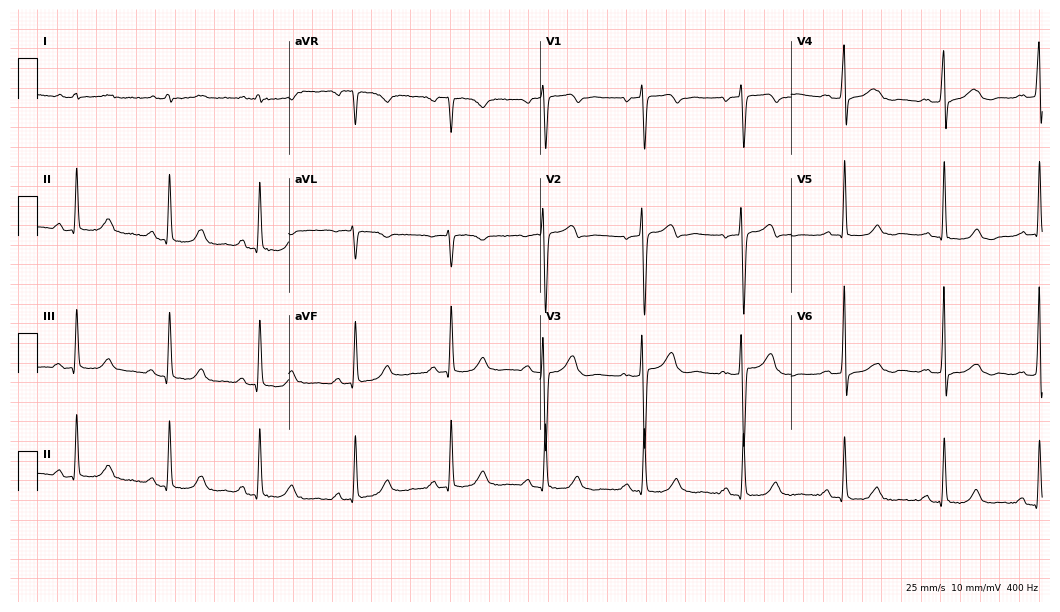
12-lead ECG from a 55-year-old female patient. No first-degree AV block, right bundle branch block, left bundle branch block, sinus bradycardia, atrial fibrillation or sinus tachycardia recorded for this tracing. Findings outside these six are not listed.